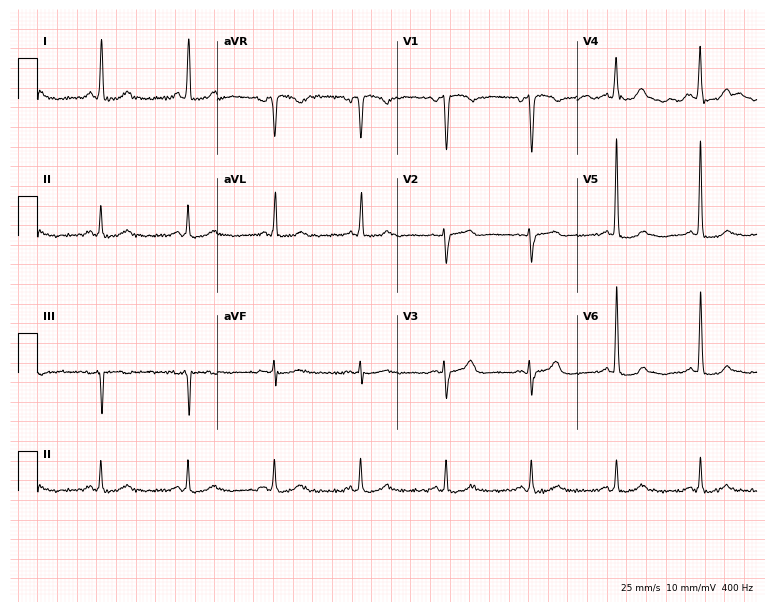
12-lead ECG (7.3-second recording at 400 Hz) from a woman, 80 years old. Screened for six findings — first-degree AV block, right bundle branch block, left bundle branch block, sinus bradycardia, atrial fibrillation, sinus tachycardia — none is recorded.